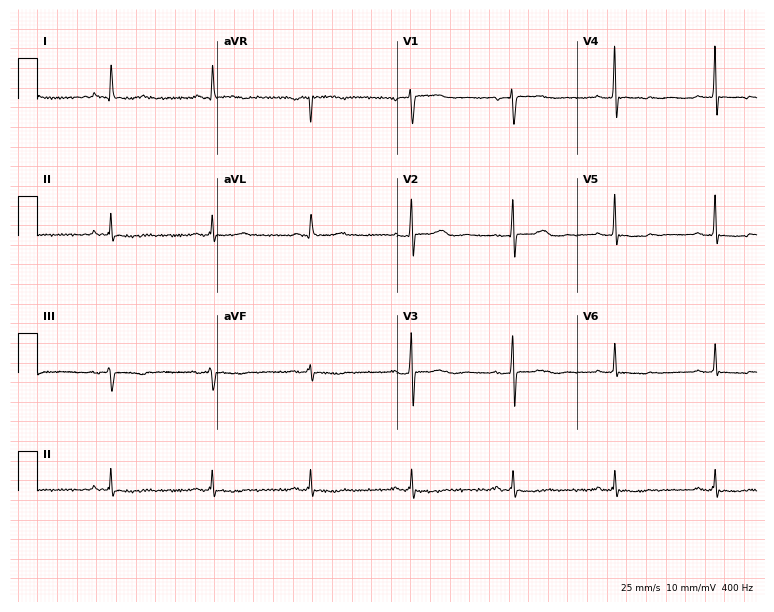
Standard 12-lead ECG recorded from a 63-year-old woman. Read as a normal ECG.